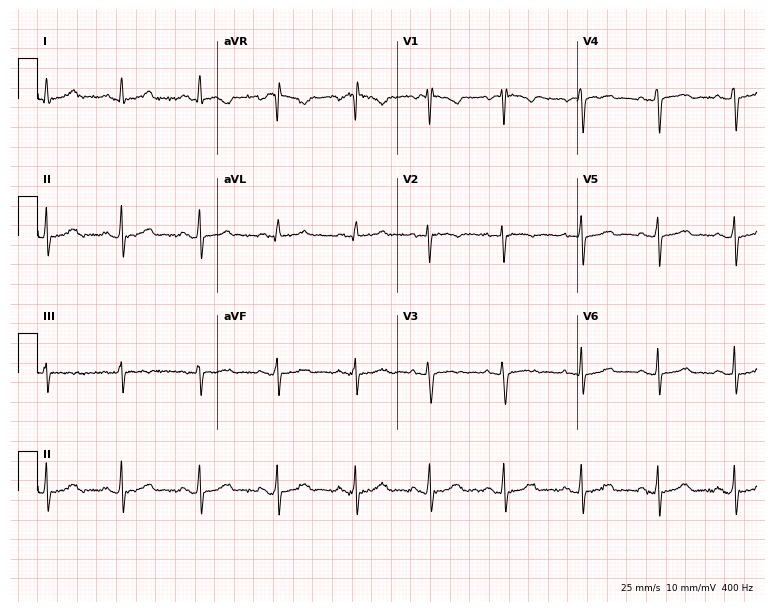
ECG (7.3-second recording at 400 Hz) — a 58-year-old female patient. Labelled as a normal ECG.